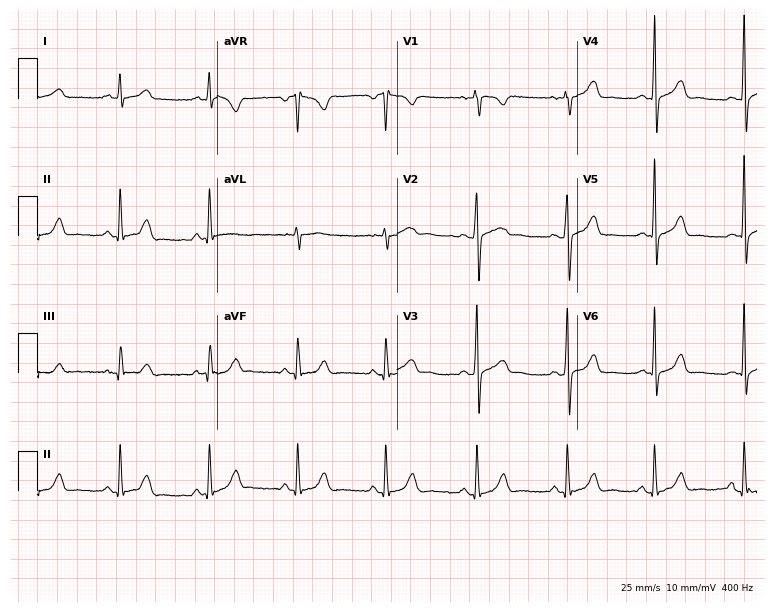
12-lead ECG (7.3-second recording at 400 Hz) from a female, 36 years old. Screened for six findings — first-degree AV block, right bundle branch block (RBBB), left bundle branch block (LBBB), sinus bradycardia, atrial fibrillation (AF), sinus tachycardia — none is recorded. Only these six findings were labelled.